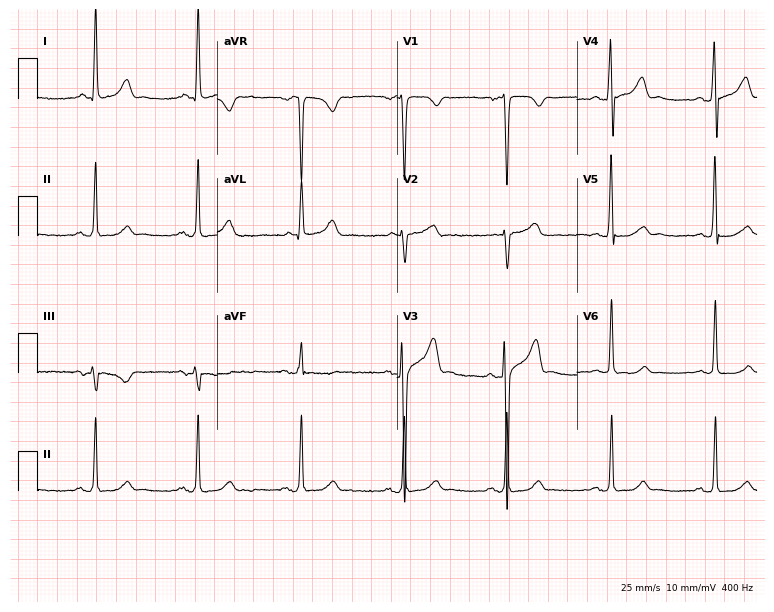
Electrocardiogram, a male, 25 years old. Overall reading on record: normal ECG.